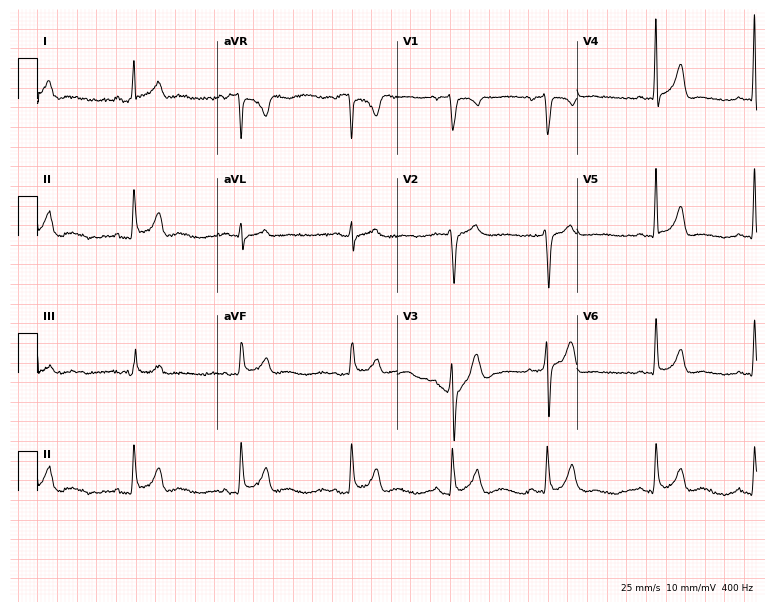
ECG (7.3-second recording at 400 Hz) — a 35-year-old male patient. Screened for six findings — first-degree AV block, right bundle branch block, left bundle branch block, sinus bradycardia, atrial fibrillation, sinus tachycardia — none is recorded.